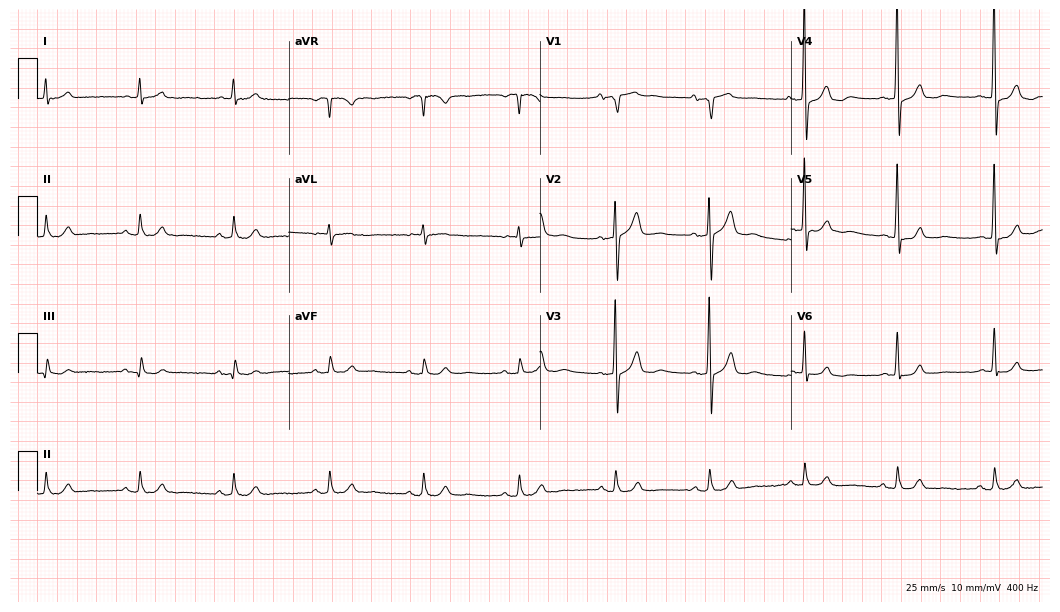
ECG (10.2-second recording at 400 Hz) — a female, 82 years old. Screened for six findings — first-degree AV block, right bundle branch block (RBBB), left bundle branch block (LBBB), sinus bradycardia, atrial fibrillation (AF), sinus tachycardia — none is recorded. Findings outside these six are not listed.